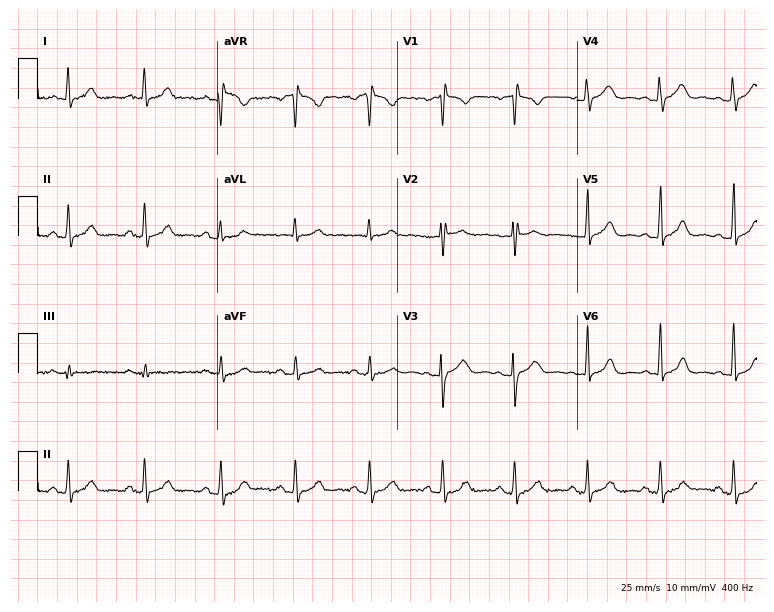
ECG — a female patient, 31 years old. Labelled as a normal ECG.